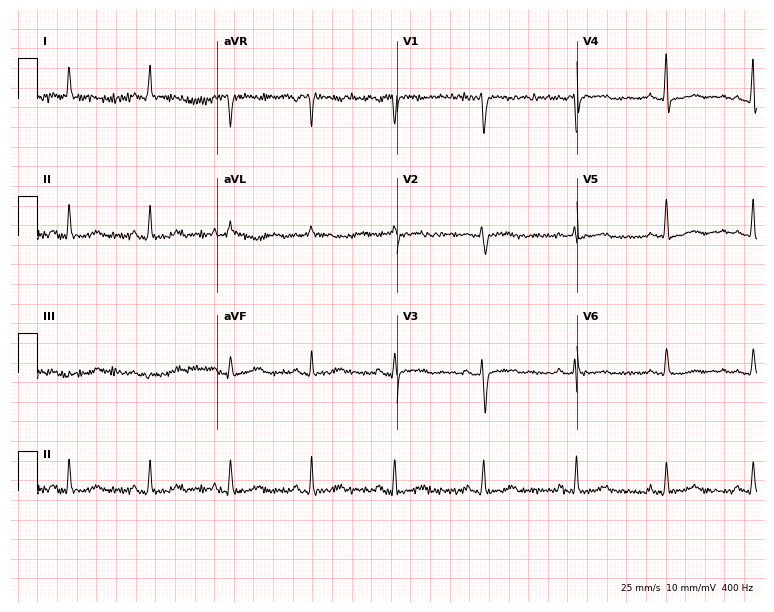
ECG (7.3-second recording at 400 Hz) — a 58-year-old female. Screened for six findings — first-degree AV block, right bundle branch block (RBBB), left bundle branch block (LBBB), sinus bradycardia, atrial fibrillation (AF), sinus tachycardia — none is recorded. Findings outside these six are not listed.